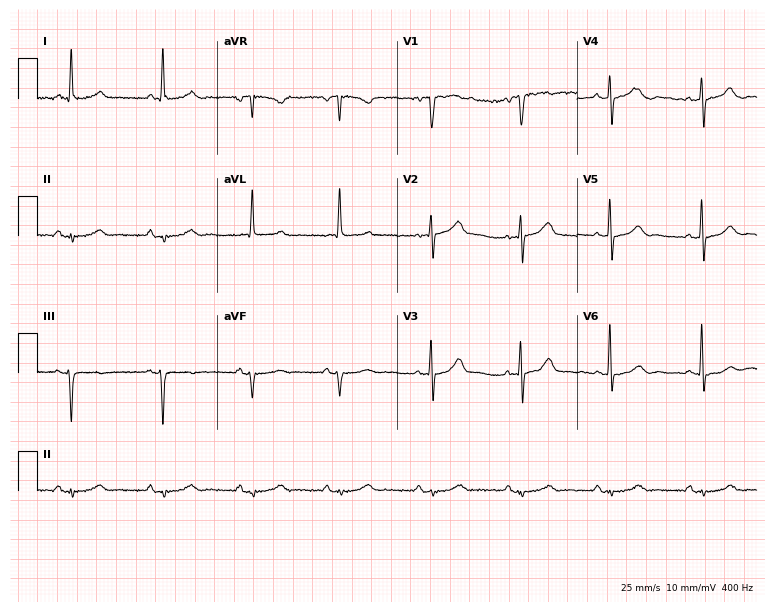
Electrocardiogram (7.3-second recording at 400 Hz), a male, 74 years old. Of the six screened findings (first-degree AV block, right bundle branch block (RBBB), left bundle branch block (LBBB), sinus bradycardia, atrial fibrillation (AF), sinus tachycardia), none is recorded. Findings outside these six are not listed.